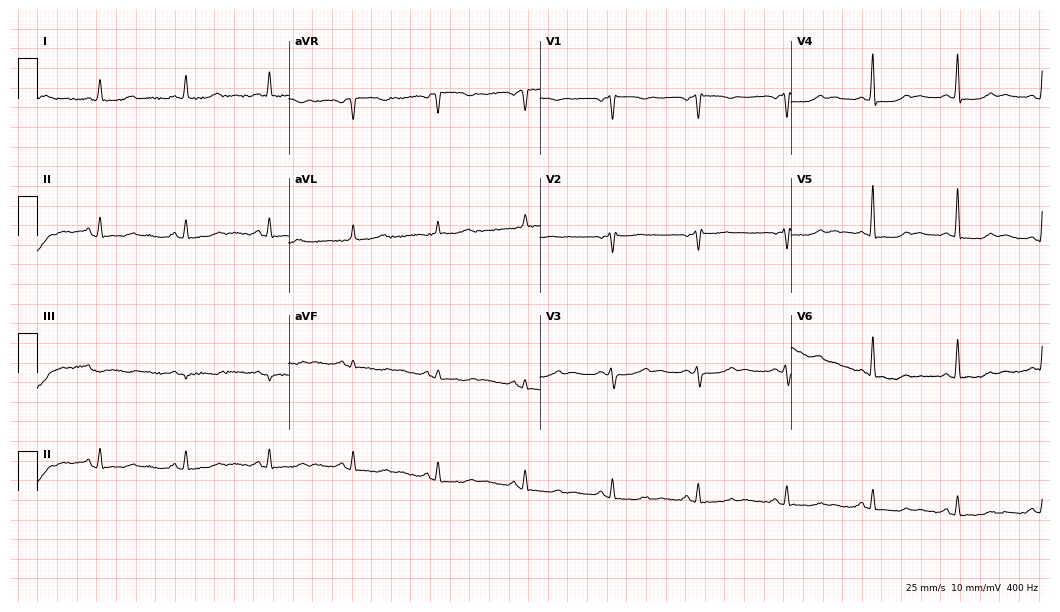
ECG (10.2-second recording at 400 Hz) — a woman, 57 years old. Labelled as a normal ECG.